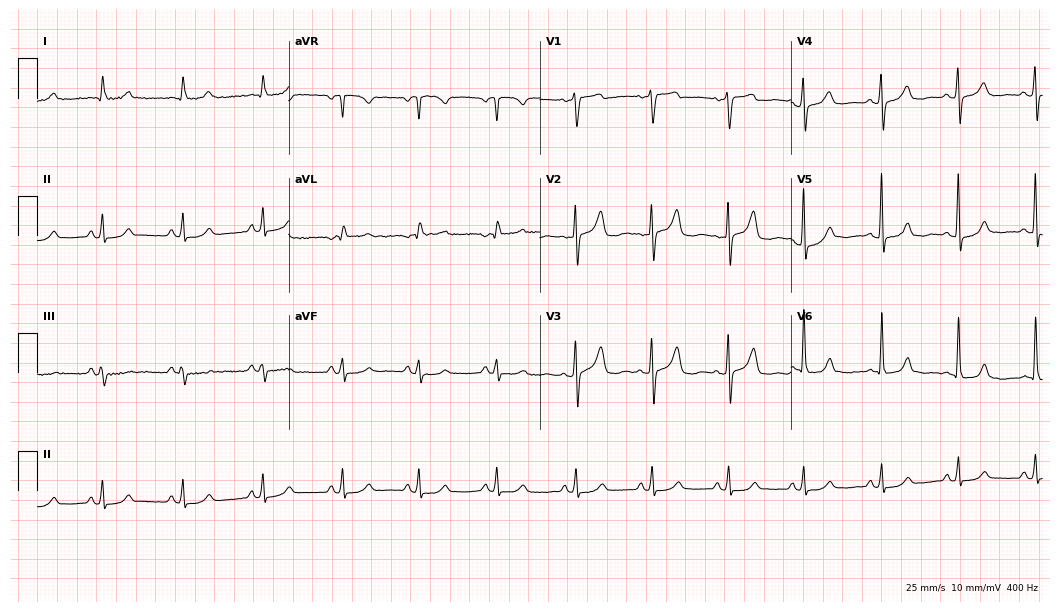
Resting 12-lead electrocardiogram (10.2-second recording at 400 Hz). Patient: a woman, 63 years old. Read as a normal ECG.